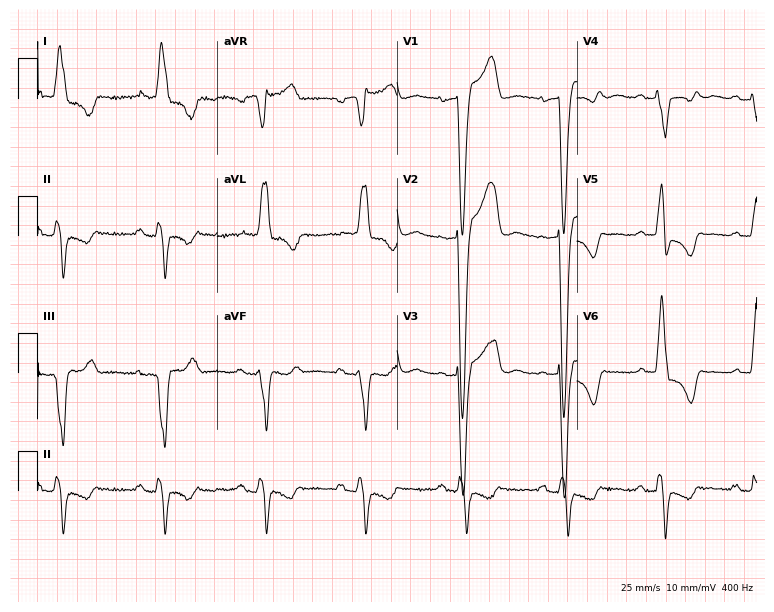
Electrocardiogram, a 60-year-old woman. Interpretation includes left bundle branch block.